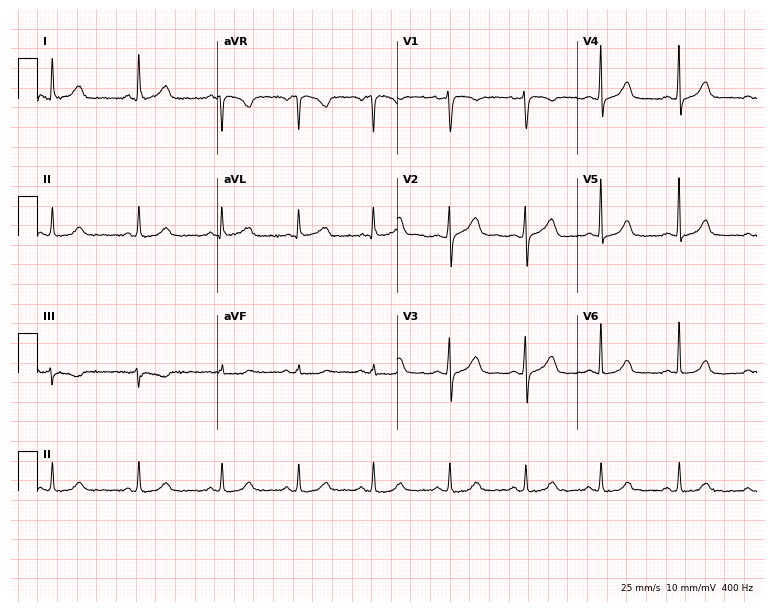
Resting 12-lead electrocardiogram. Patient: a 42-year-old female. Read as a normal ECG.